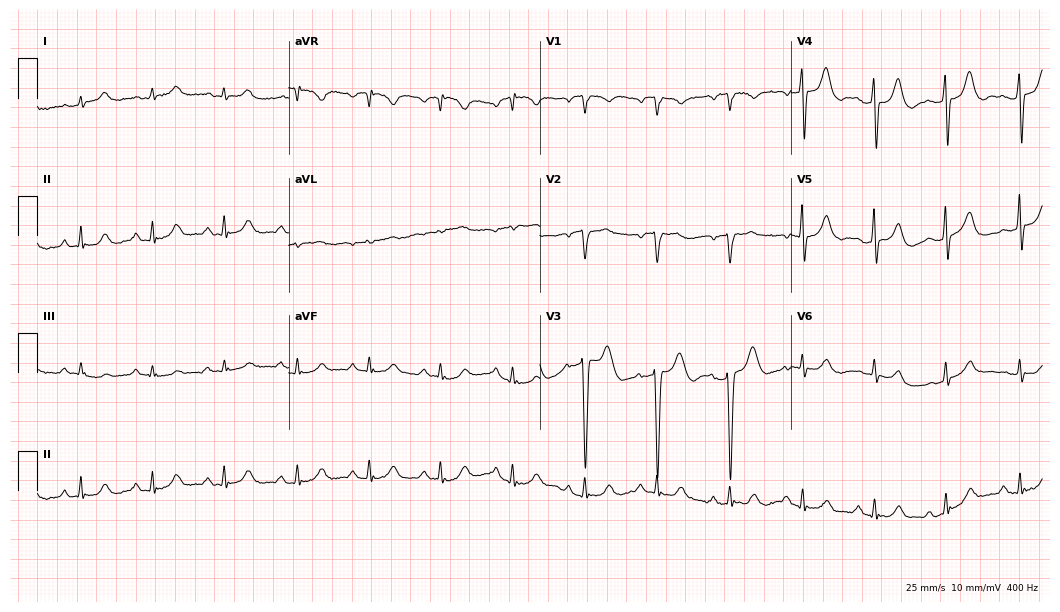
Standard 12-lead ECG recorded from a male patient, 73 years old (10.2-second recording at 400 Hz). Read as a normal ECG.